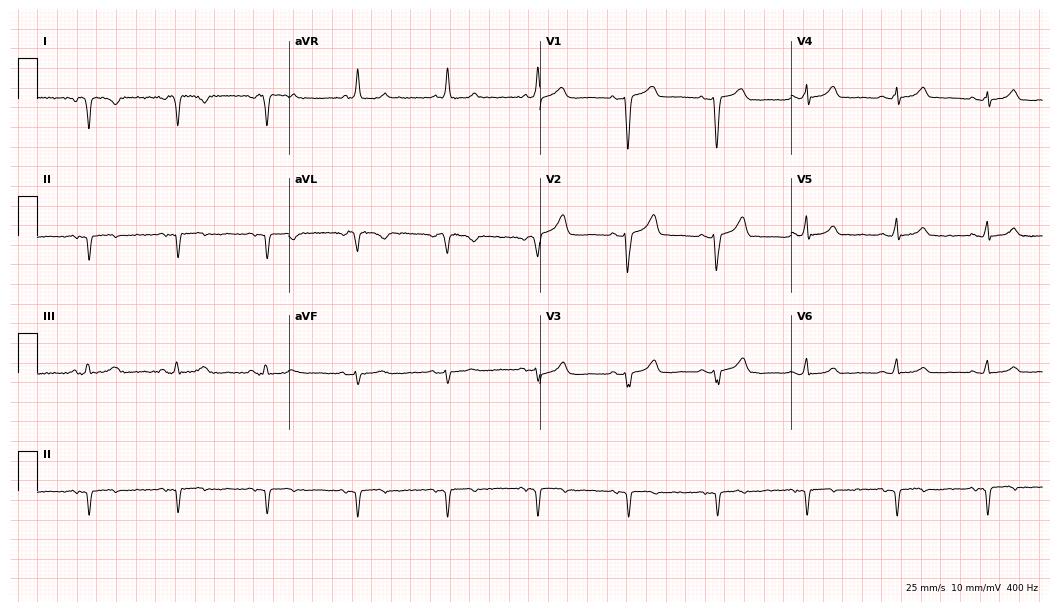
Standard 12-lead ECG recorded from a female patient, 81 years old (10.2-second recording at 400 Hz). None of these six findings is recorded: first-degree AV block, right bundle branch block, left bundle branch block, sinus bradycardia, atrial fibrillation, sinus tachycardia.